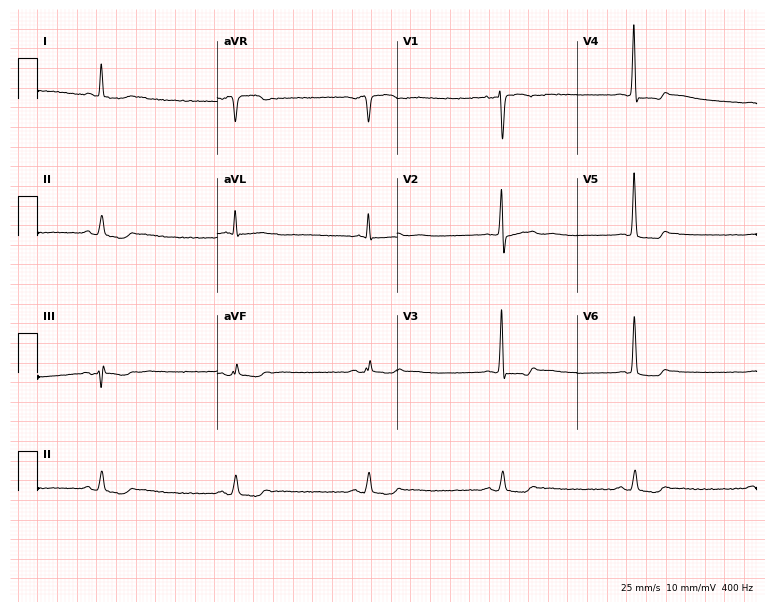
12-lead ECG from a female patient, 81 years old. Findings include sinus bradycardia (a sinus rate of 50 beats per minute or less).